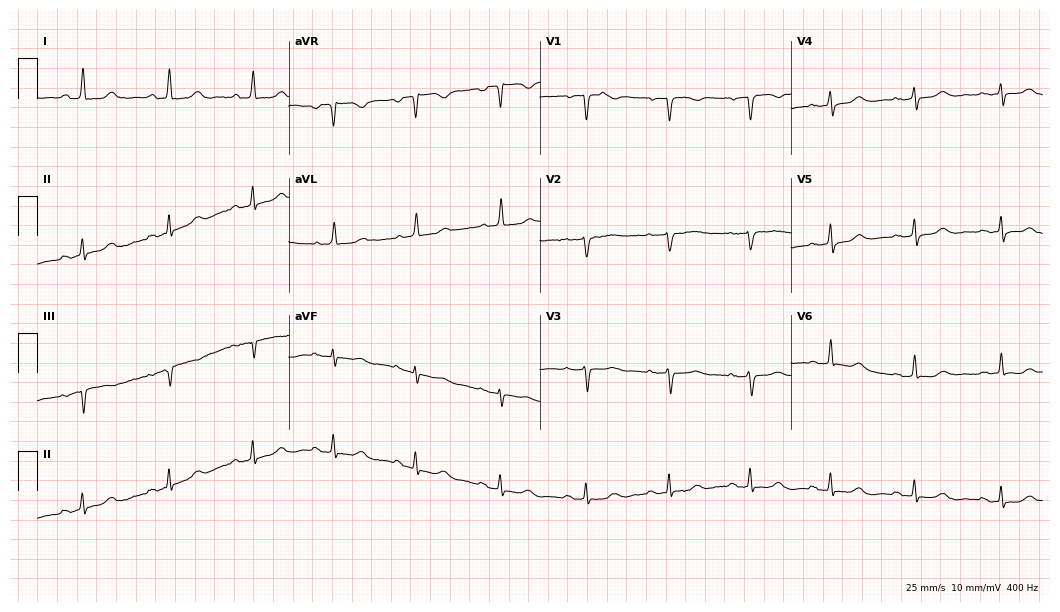
12-lead ECG from a woman, 63 years old (10.2-second recording at 400 Hz). Recorded interpretation: within normal limits.